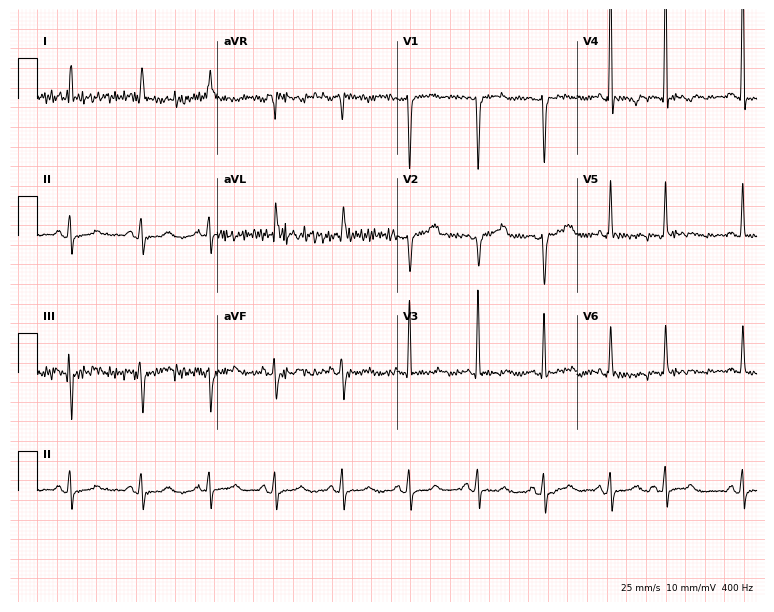
ECG (7.3-second recording at 400 Hz) — a 69-year-old female patient. Screened for six findings — first-degree AV block, right bundle branch block (RBBB), left bundle branch block (LBBB), sinus bradycardia, atrial fibrillation (AF), sinus tachycardia — none is recorded.